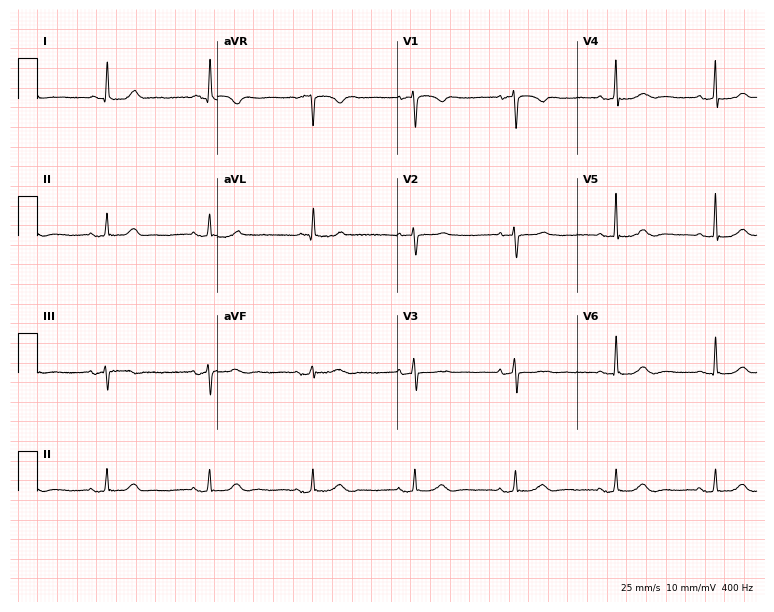
Electrocardiogram (7.3-second recording at 400 Hz), a 59-year-old female. Overall reading on record: normal ECG.